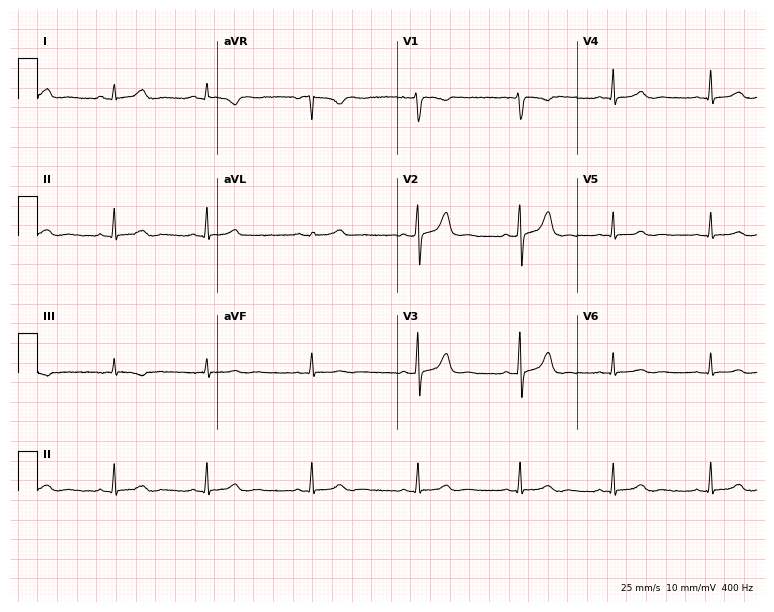
Standard 12-lead ECG recorded from a 31-year-old female (7.3-second recording at 400 Hz). Read as a normal ECG.